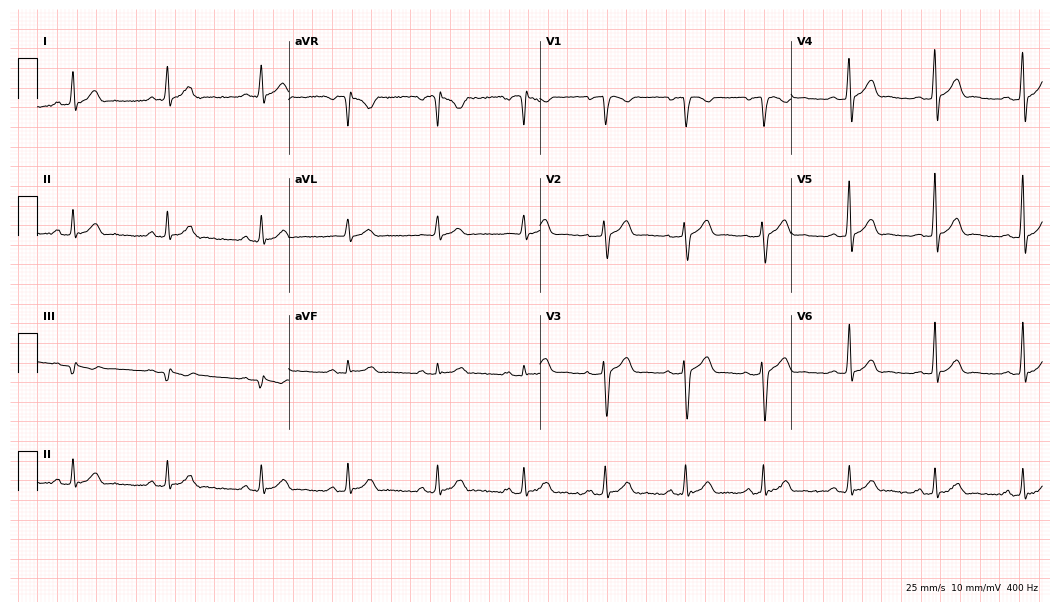
Electrocardiogram, a male patient, 35 years old. Overall reading on record: normal ECG.